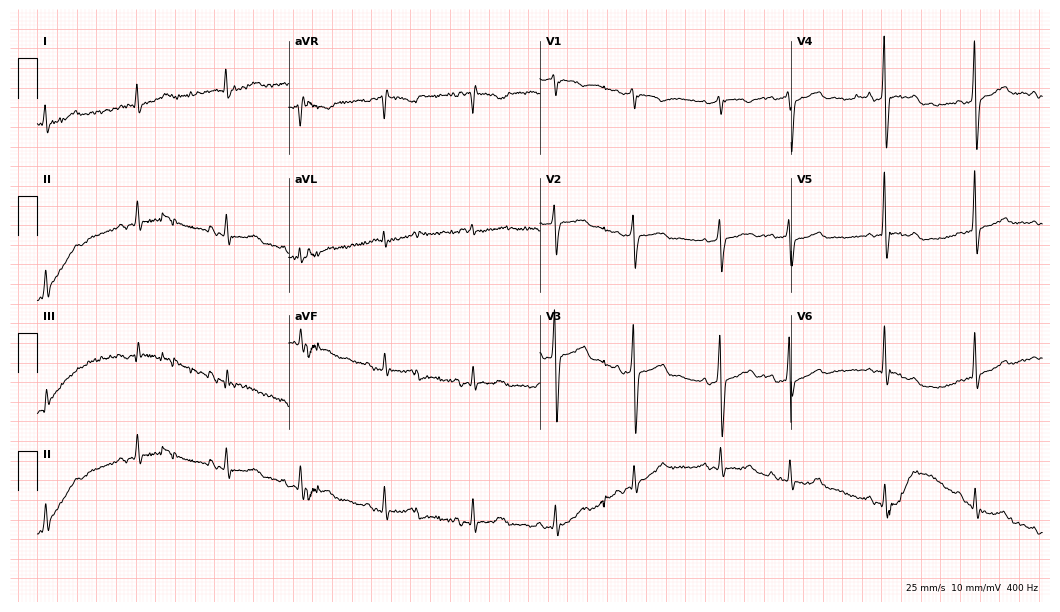
12-lead ECG from an 80-year-old male patient. Screened for six findings — first-degree AV block, right bundle branch block, left bundle branch block, sinus bradycardia, atrial fibrillation, sinus tachycardia — none is recorded. Other findings, if any, are not listed.